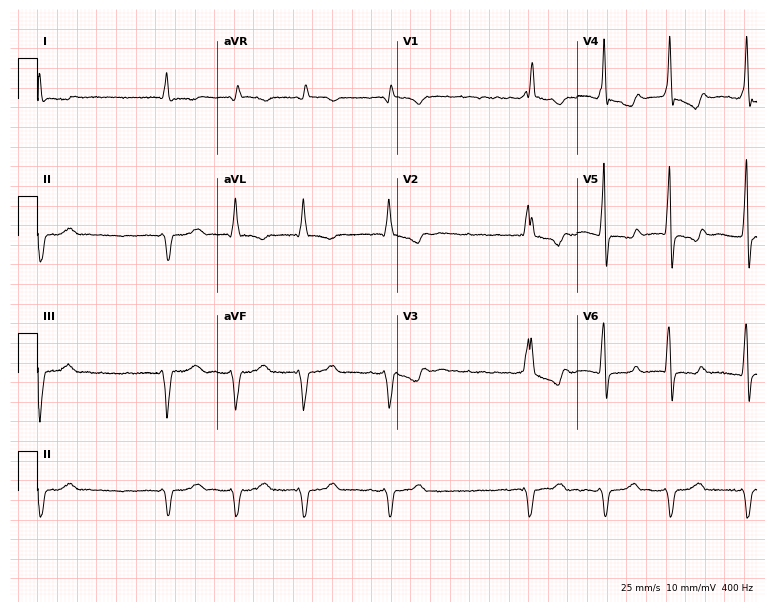
Standard 12-lead ECG recorded from a man, 81 years old (7.3-second recording at 400 Hz). The tracing shows right bundle branch block, atrial fibrillation.